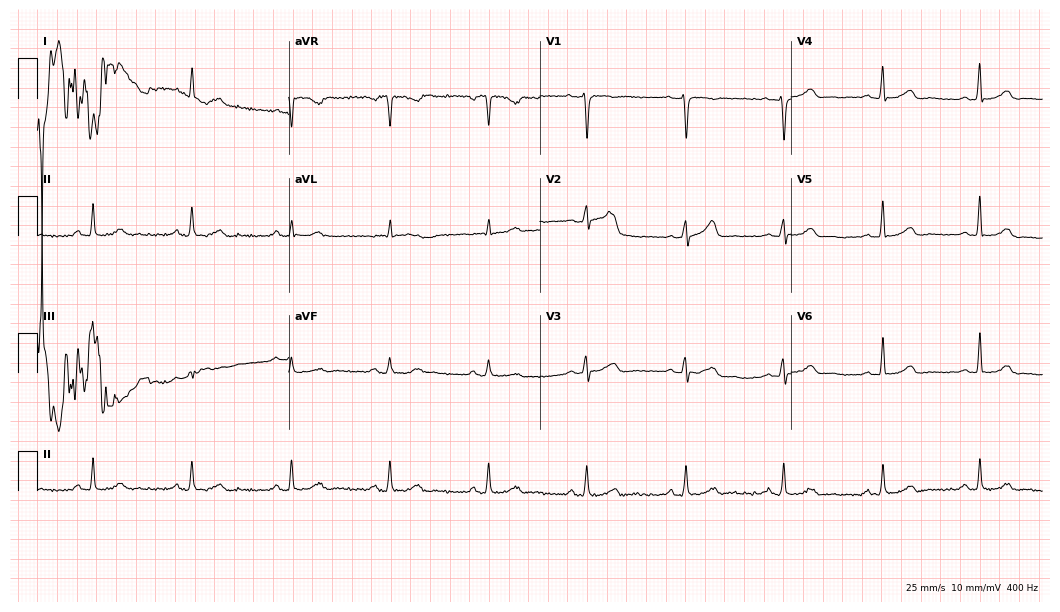
Standard 12-lead ECG recorded from a 37-year-old female patient (10.2-second recording at 400 Hz). Read as a normal ECG.